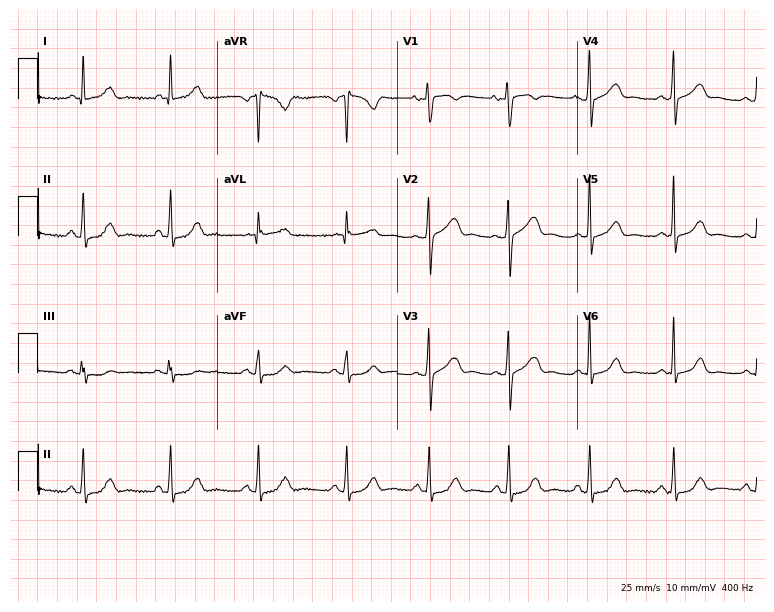
Standard 12-lead ECG recorded from a 50-year-old female (7.3-second recording at 400 Hz). None of these six findings is recorded: first-degree AV block, right bundle branch block, left bundle branch block, sinus bradycardia, atrial fibrillation, sinus tachycardia.